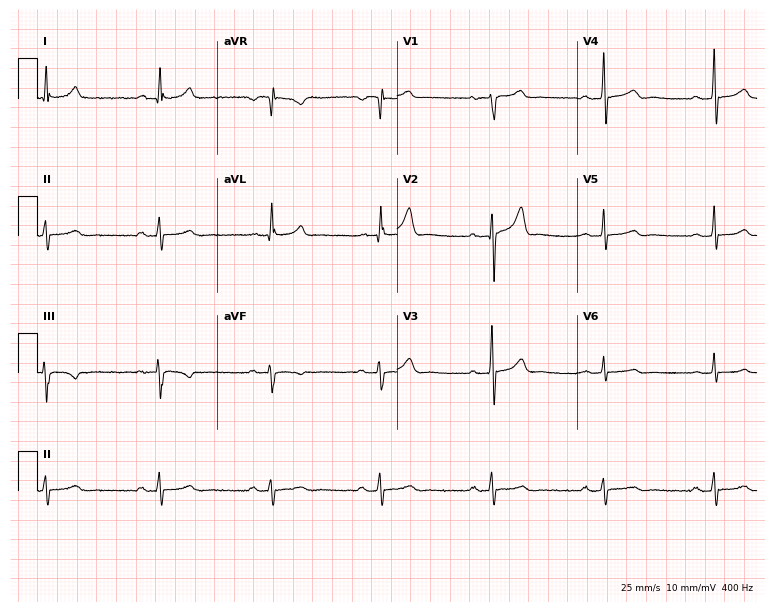
ECG (7.3-second recording at 400 Hz) — a 56-year-old male patient. Findings include sinus bradycardia (a sinus rate of 50 beats per minute or less).